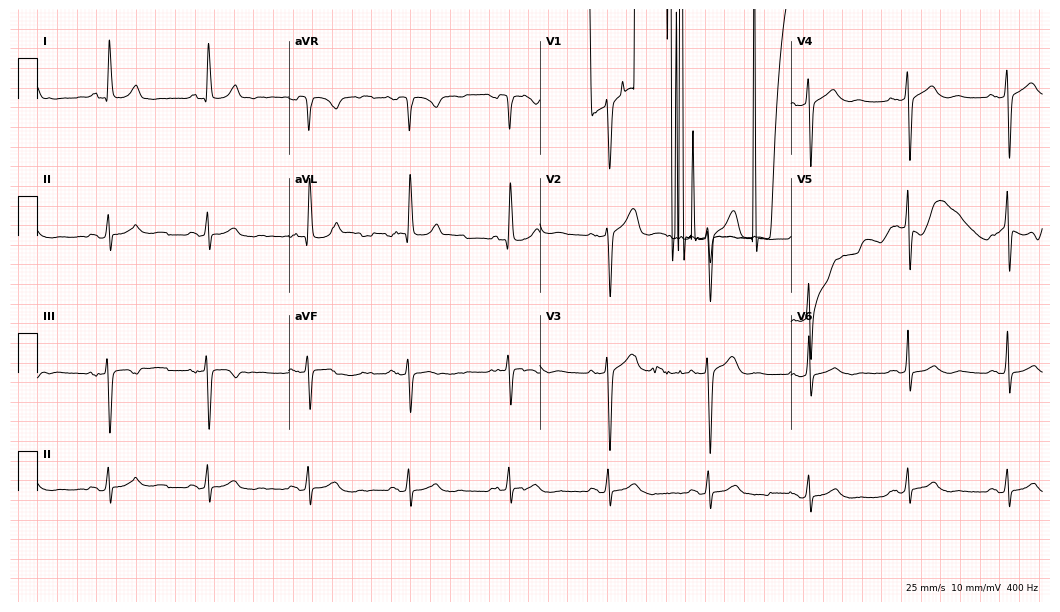
Resting 12-lead electrocardiogram. Patient: a 67-year-old woman. None of these six findings is recorded: first-degree AV block, right bundle branch block, left bundle branch block, sinus bradycardia, atrial fibrillation, sinus tachycardia.